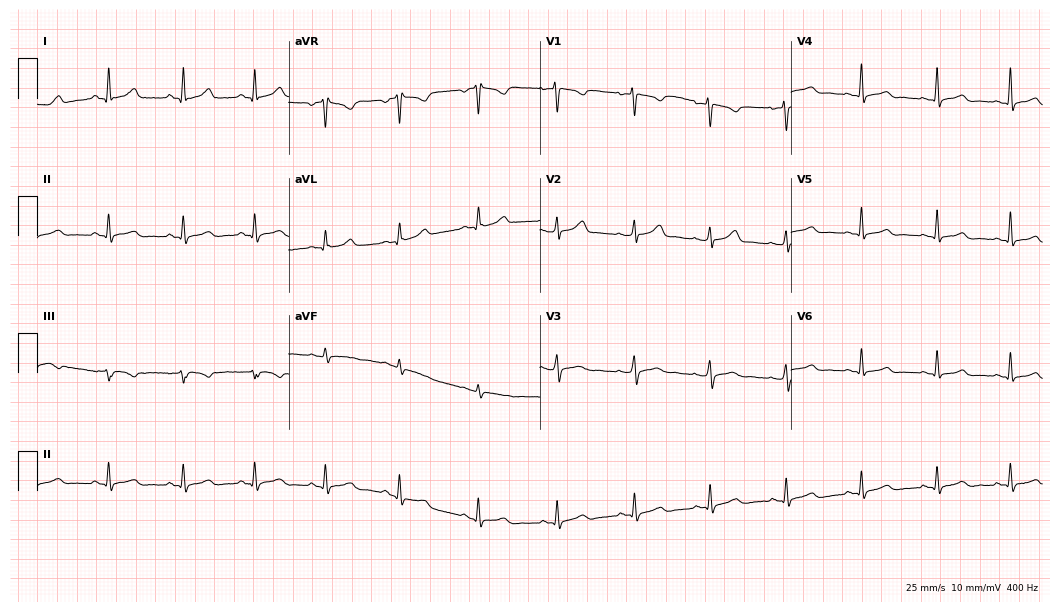
Standard 12-lead ECG recorded from a 34-year-old woman. Read as a normal ECG.